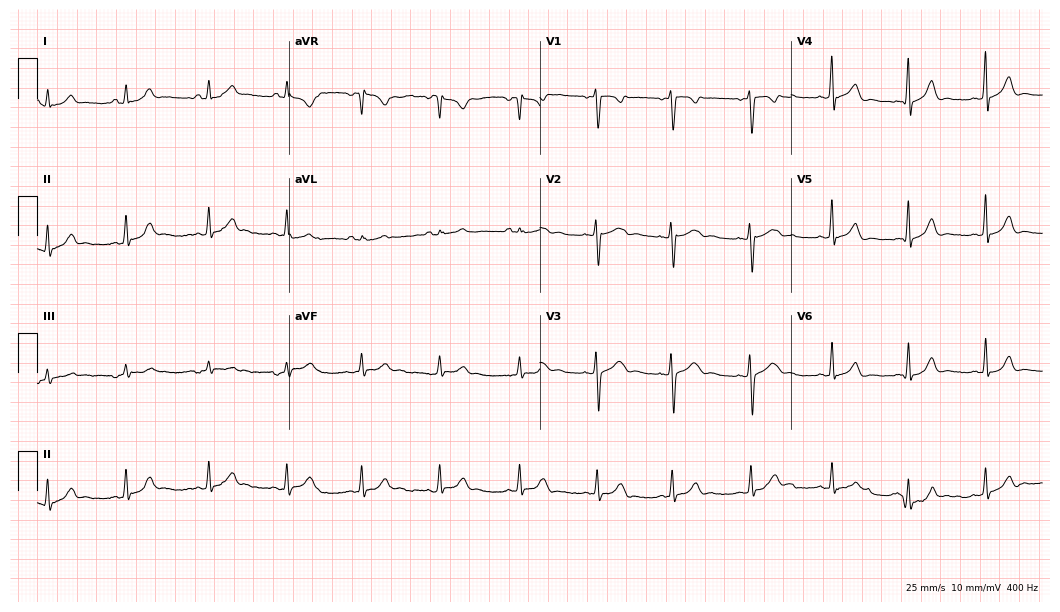
Resting 12-lead electrocardiogram (10.2-second recording at 400 Hz). Patient: a female, 19 years old. Read as a normal ECG.